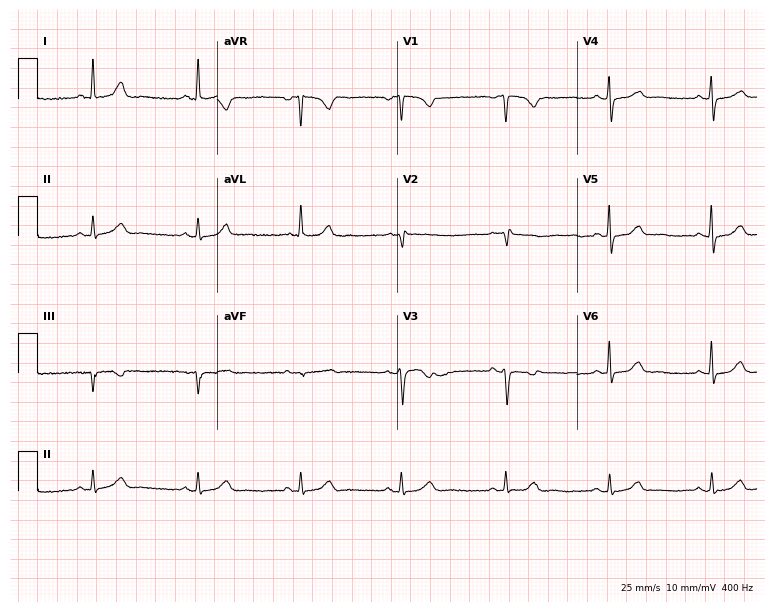
Electrocardiogram (7.3-second recording at 400 Hz), a 67-year-old female. Of the six screened findings (first-degree AV block, right bundle branch block (RBBB), left bundle branch block (LBBB), sinus bradycardia, atrial fibrillation (AF), sinus tachycardia), none is recorded. Findings outside these six are not listed.